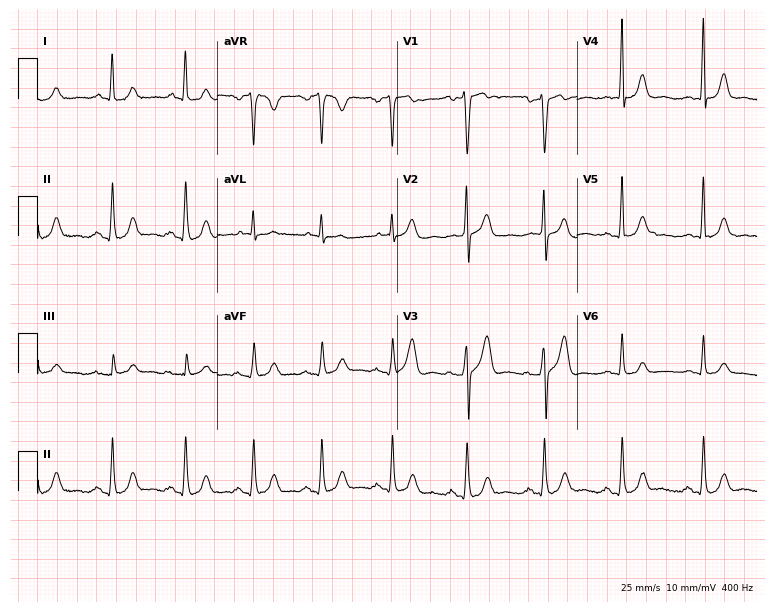
Standard 12-lead ECG recorded from a 53-year-old male (7.3-second recording at 400 Hz). Read as a normal ECG.